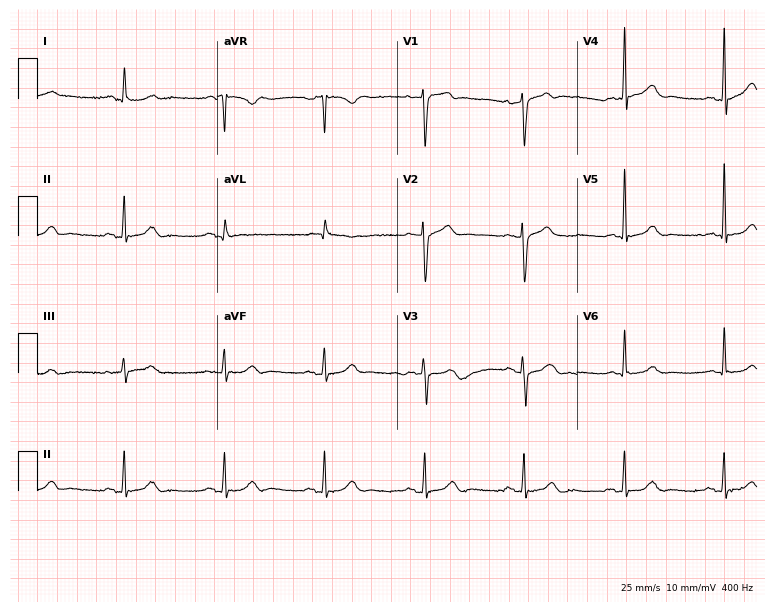
12-lead ECG from a 66-year-old male patient. No first-degree AV block, right bundle branch block (RBBB), left bundle branch block (LBBB), sinus bradycardia, atrial fibrillation (AF) or sinus tachycardia recorded for this tracing.